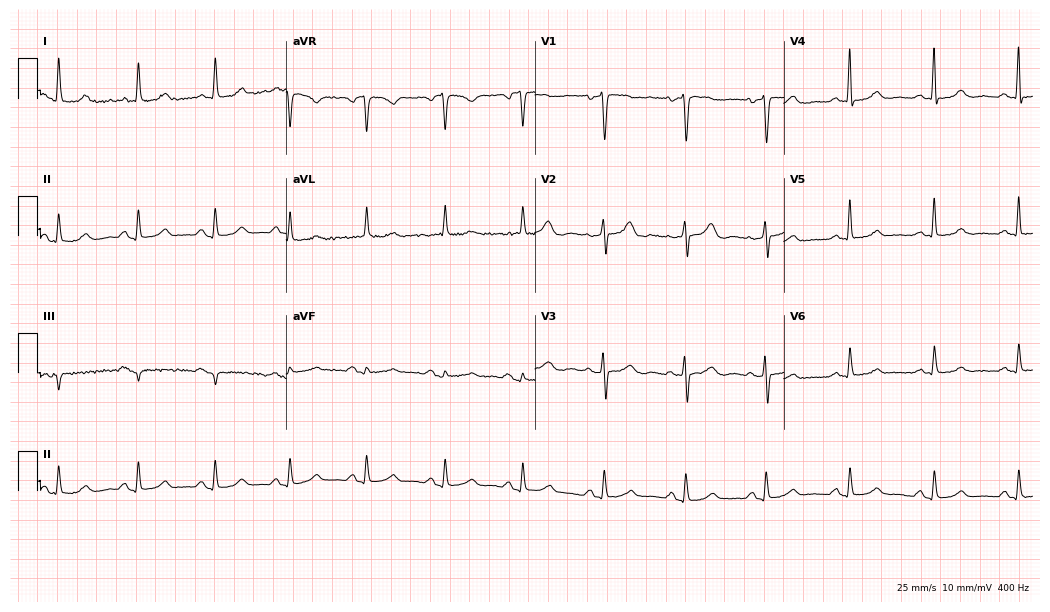
Resting 12-lead electrocardiogram. Patient: a 55-year-old female. Read as a normal ECG.